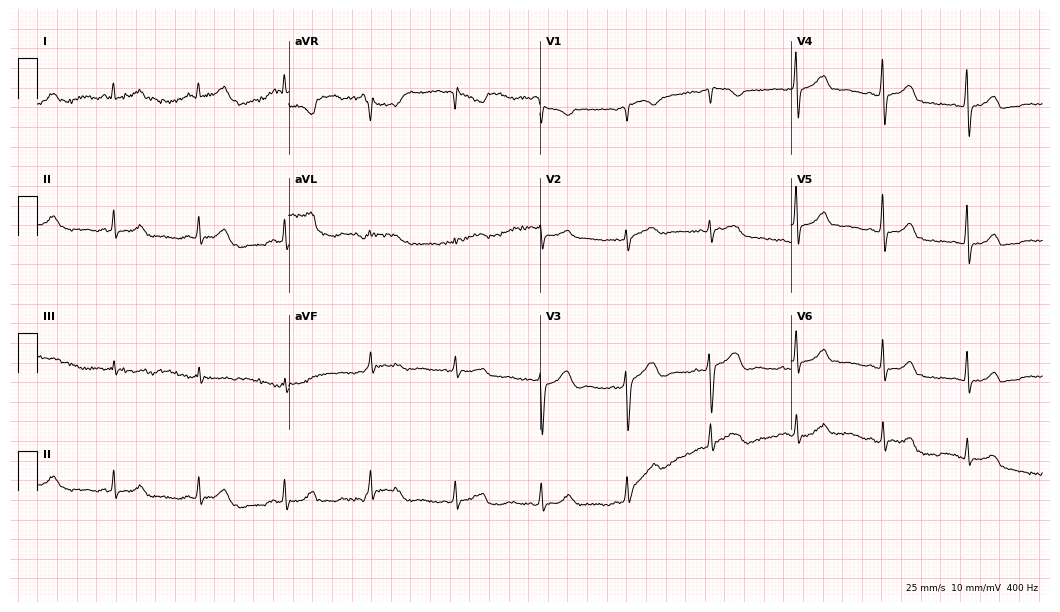
ECG (10.2-second recording at 400 Hz) — a female patient, 39 years old. Screened for six findings — first-degree AV block, right bundle branch block (RBBB), left bundle branch block (LBBB), sinus bradycardia, atrial fibrillation (AF), sinus tachycardia — none is recorded.